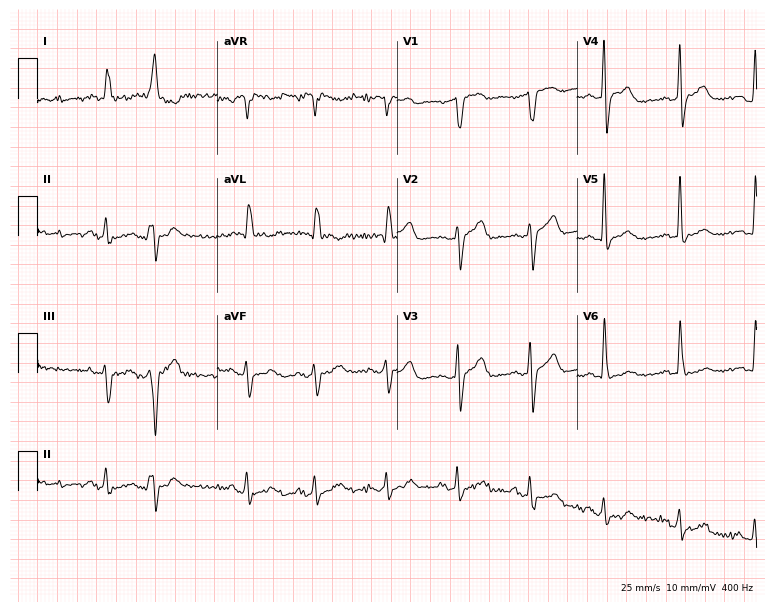
ECG — a 75-year-old male patient. Screened for six findings — first-degree AV block, right bundle branch block (RBBB), left bundle branch block (LBBB), sinus bradycardia, atrial fibrillation (AF), sinus tachycardia — none is recorded.